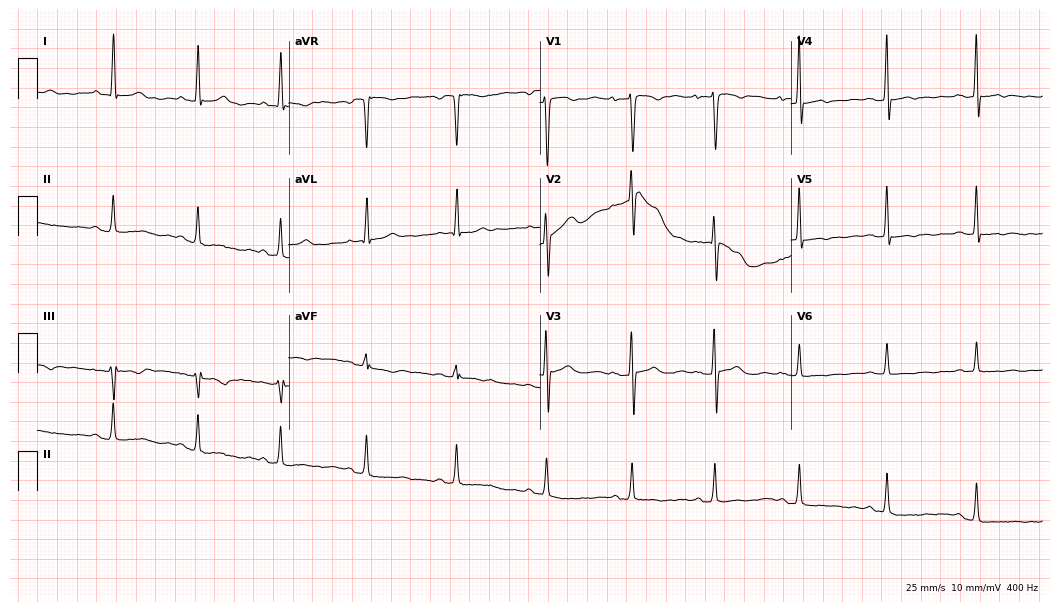
ECG — a 30-year-old male patient. Labelled as a normal ECG.